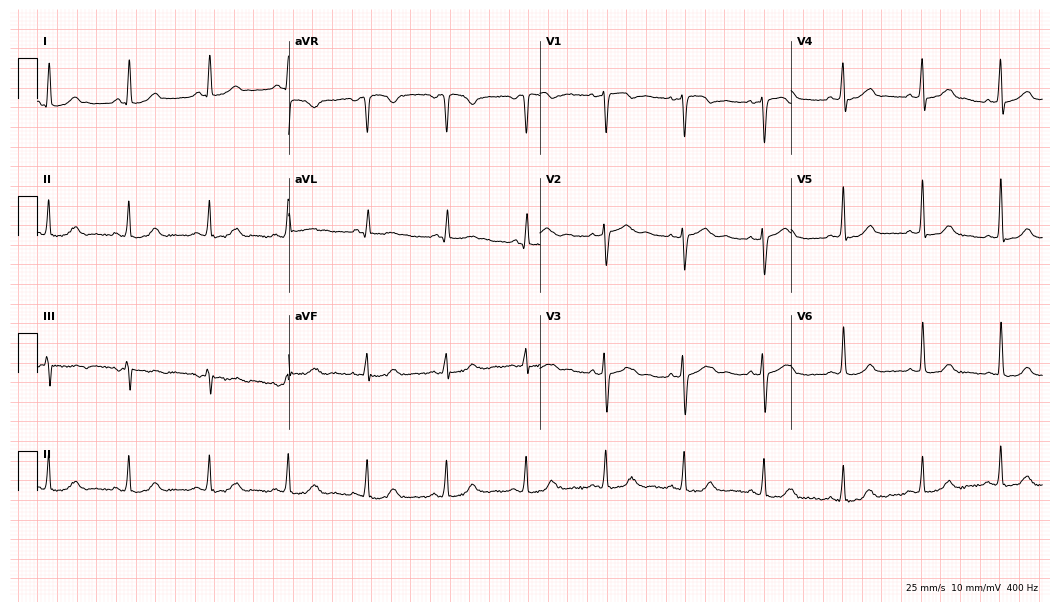
Electrocardiogram (10.2-second recording at 400 Hz), a 45-year-old female. Overall reading on record: normal ECG.